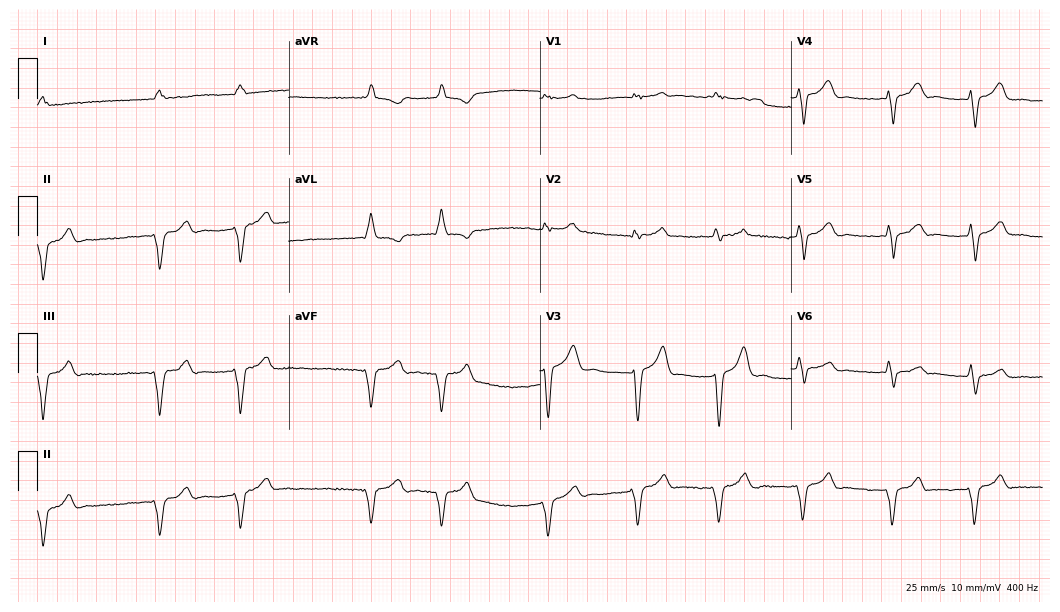
Resting 12-lead electrocardiogram. Patient: a 67-year-old male. The tracing shows atrial fibrillation.